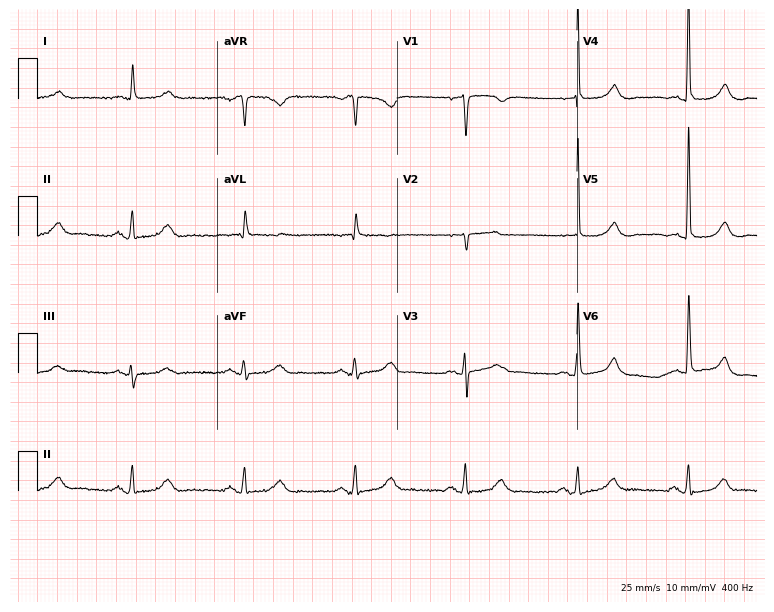
12-lead ECG (7.3-second recording at 400 Hz) from a female, 83 years old. Screened for six findings — first-degree AV block, right bundle branch block, left bundle branch block, sinus bradycardia, atrial fibrillation, sinus tachycardia — none is recorded.